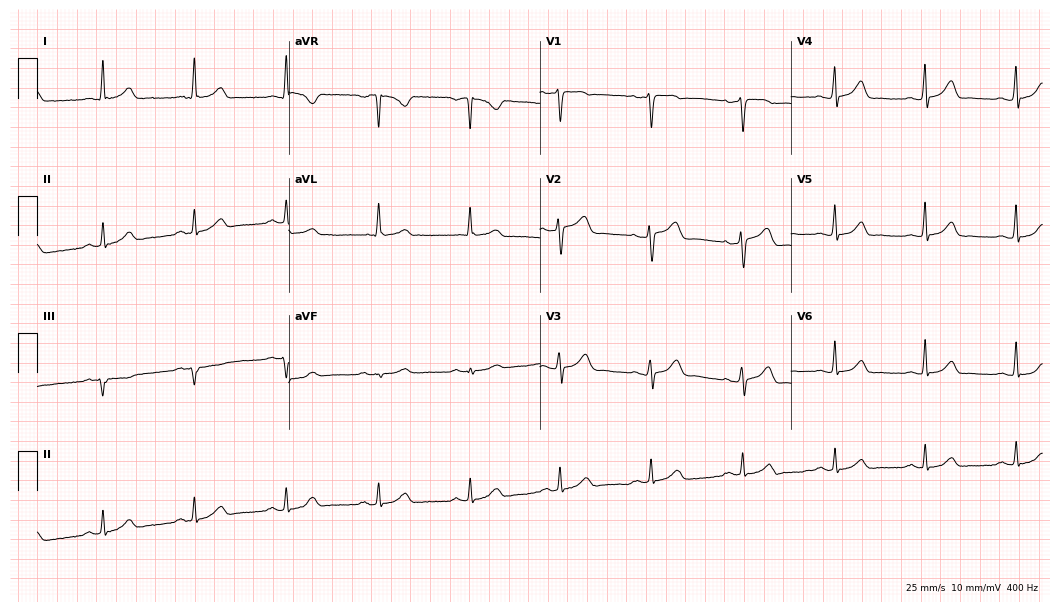
12-lead ECG from a female, 56 years old. No first-degree AV block, right bundle branch block (RBBB), left bundle branch block (LBBB), sinus bradycardia, atrial fibrillation (AF) or sinus tachycardia recorded for this tracing. Findings outside these six are not listed.